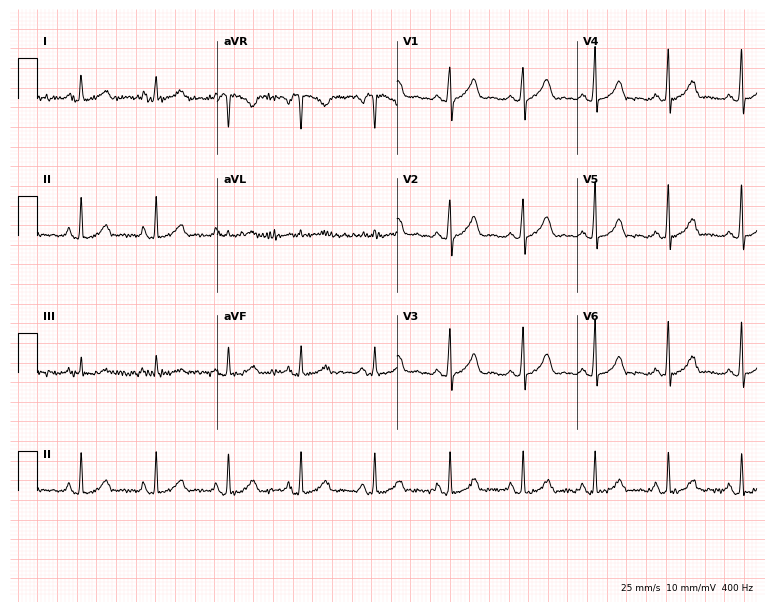
Electrocardiogram (7.3-second recording at 400 Hz), a female patient, 33 years old. Overall reading on record: normal ECG.